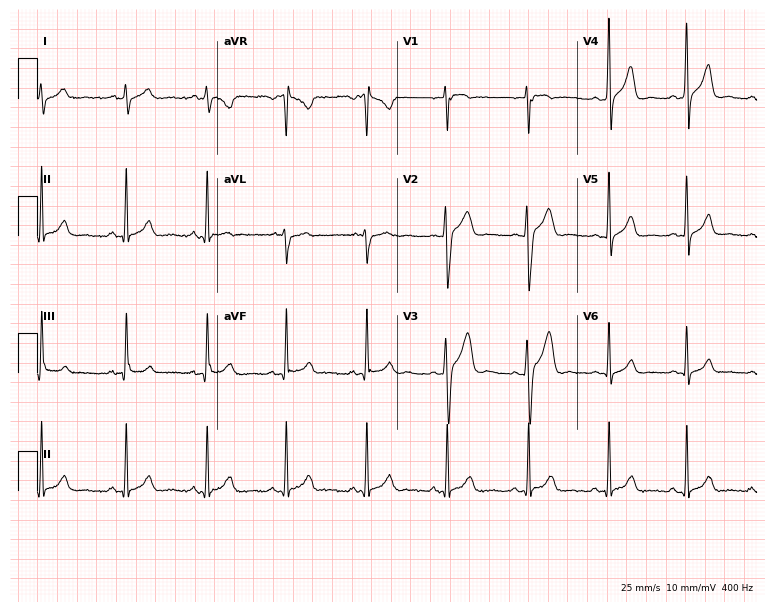
Resting 12-lead electrocardiogram (7.3-second recording at 400 Hz). Patient: a 21-year-old male. Read as a normal ECG.